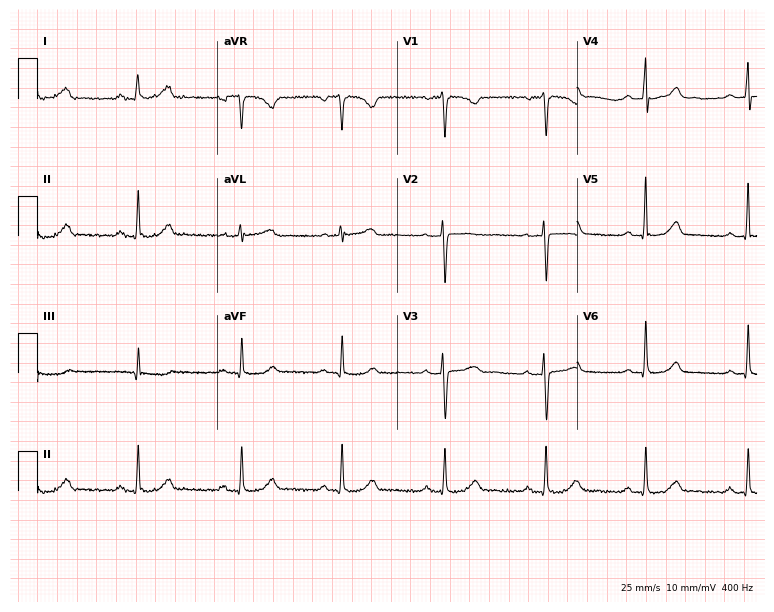
12-lead ECG from a female, 47 years old (7.3-second recording at 400 Hz). Recorded interpretation: within normal limits.